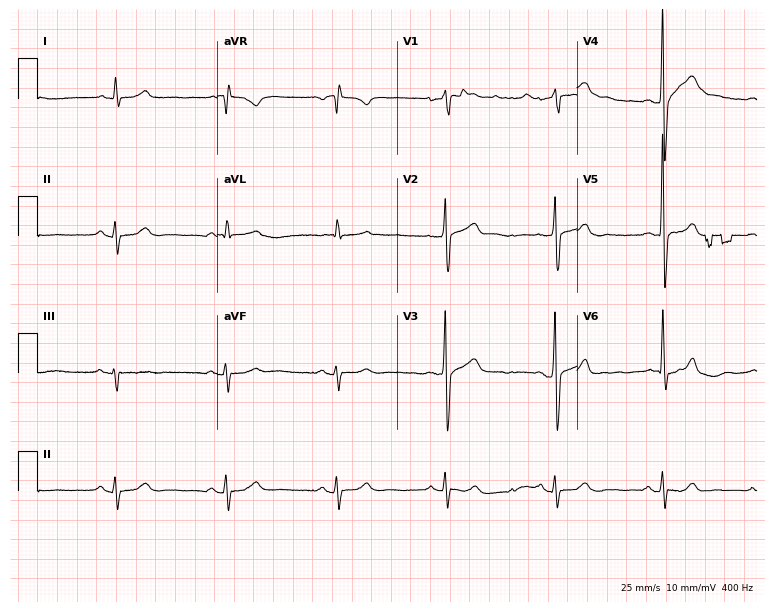
12-lead ECG from a 75-year-old man. Recorded interpretation: within normal limits.